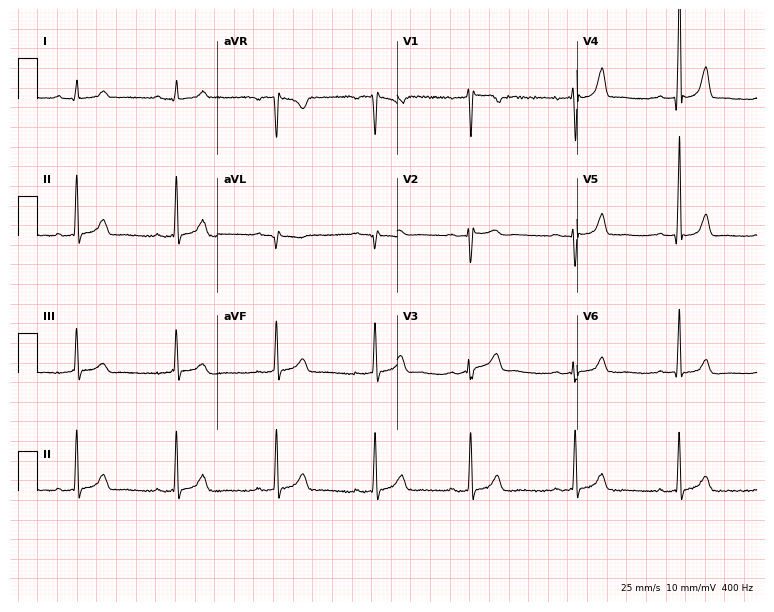
Electrocardiogram, a 26-year-old man. Of the six screened findings (first-degree AV block, right bundle branch block, left bundle branch block, sinus bradycardia, atrial fibrillation, sinus tachycardia), none is recorded. Findings outside these six are not listed.